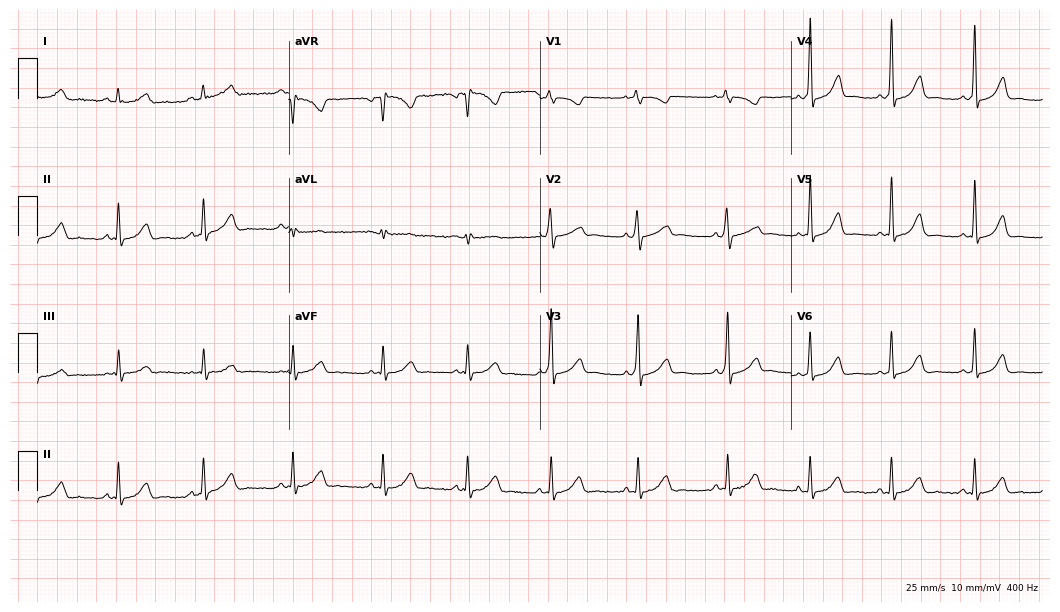
Standard 12-lead ECG recorded from a woman, 30 years old. None of these six findings is recorded: first-degree AV block, right bundle branch block (RBBB), left bundle branch block (LBBB), sinus bradycardia, atrial fibrillation (AF), sinus tachycardia. Findings outside these six are not listed.